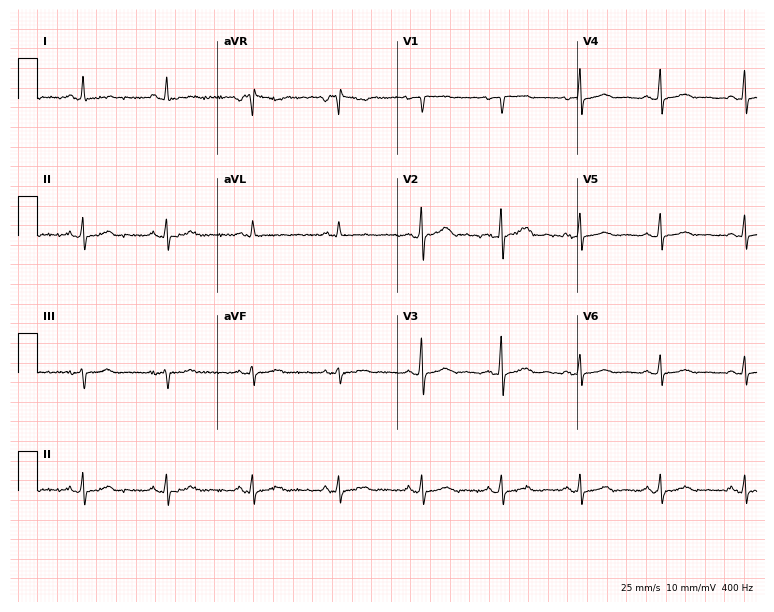
Resting 12-lead electrocardiogram (7.3-second recording at 400 Hz). Patient: a female, 39 years old. None of these six findings is recorded: first-degree AV block, right bundle branch block, left bundle branch block, sinus bradycardia, atrial fibrillation, sinus tachycardia.